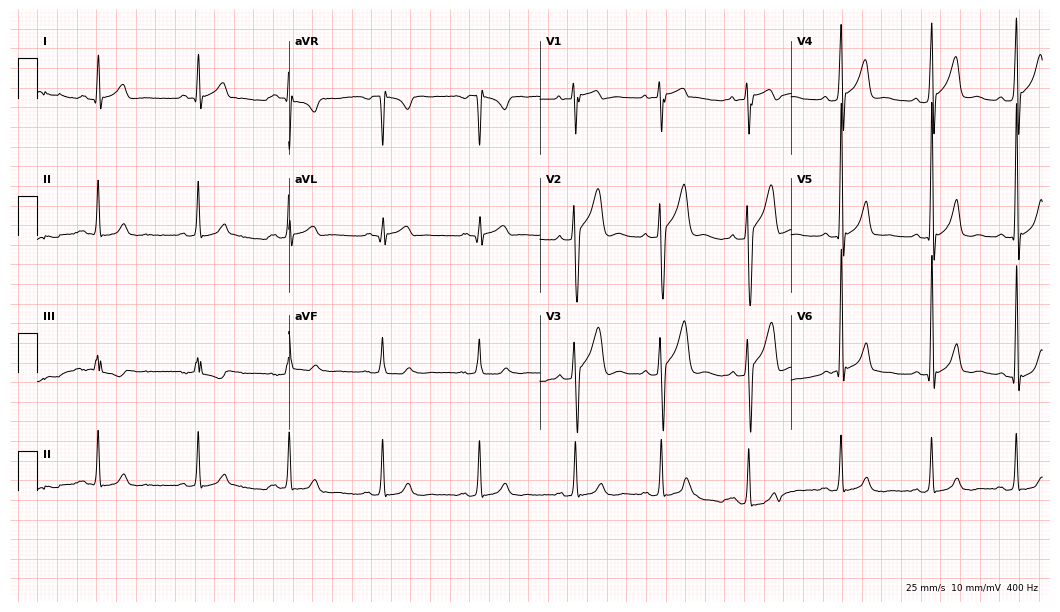
12-lead ECG from a 20-year-old male. Labelled as a normal ECG.